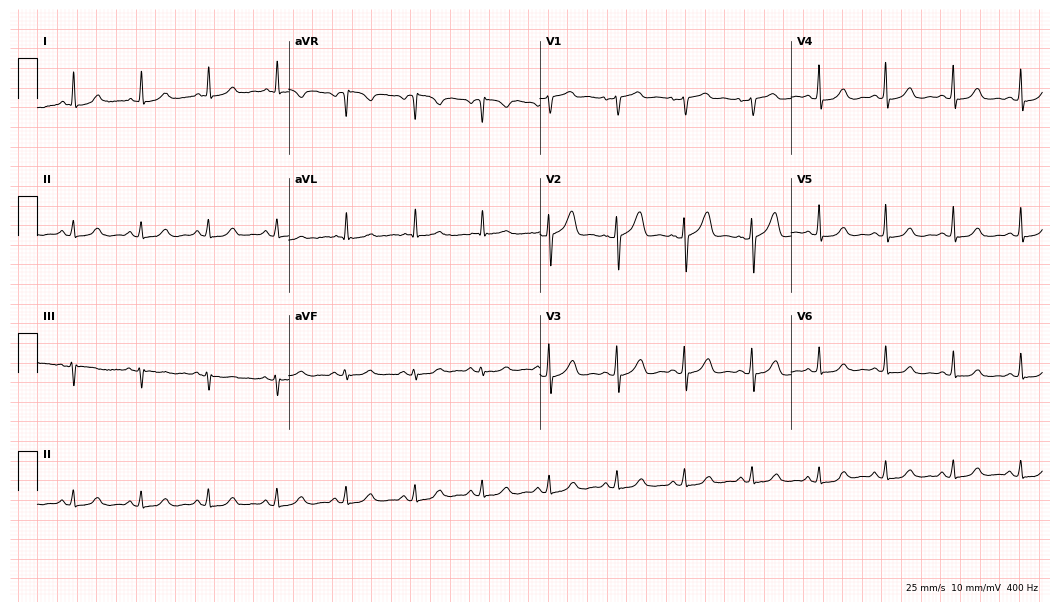
Electrocardiogram, a female, 69 years old. Of the six screened findings (first-degree AV block, right bundle branch block, left bundle branch block, sinus bradycardia, atrial fibrillation, sinus tachycardia), none is recorded.